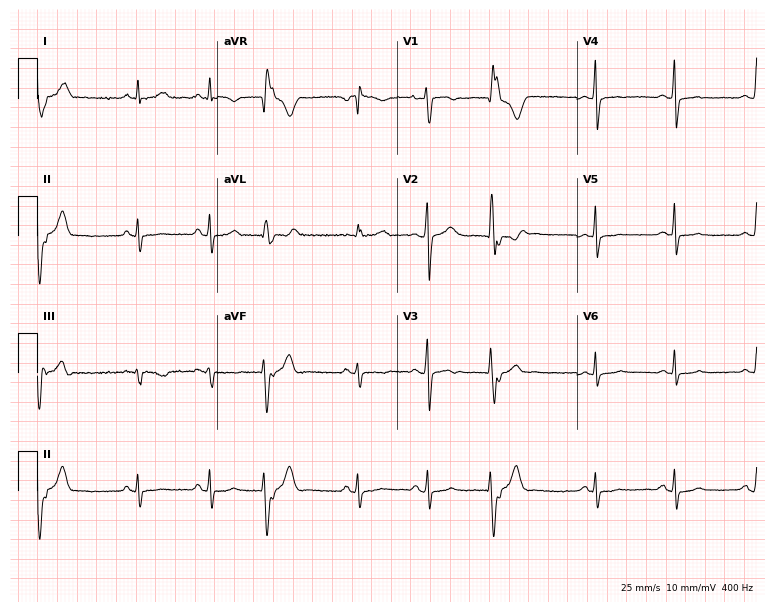
12-lead ECG from a 42-year-old female. No first-degree AV block, right bundle branch block, left bundle branch block, sinus bradycardia, atrial fibrillation or sinus tachycardia recorded for this tracing. Other findings, if any, are not listed.